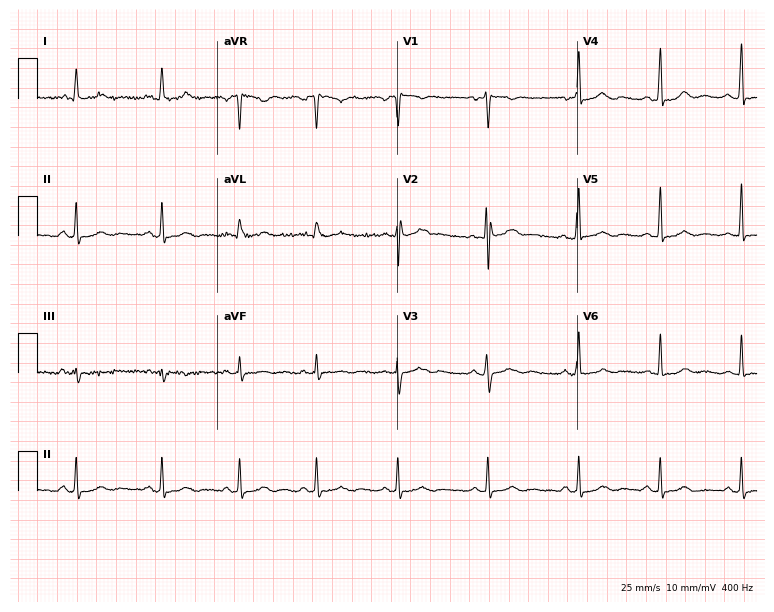
12-lead ECG from a 32-year-old woman. No first-degree AV block, right bundle branch block, left bundle branch block, sinus bradycardia, atrial fibrillation or sinus tachycardia recorded for this tracing.